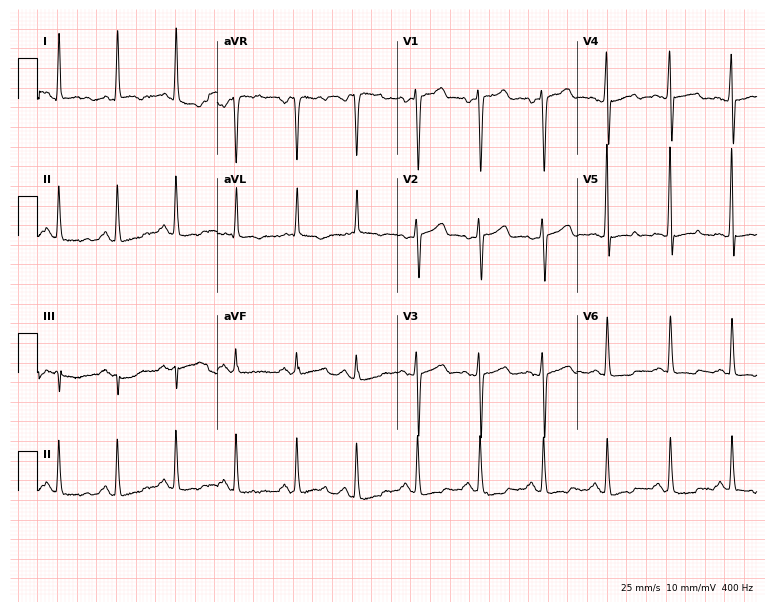
12-lead ECG (7.3-second recording at 400 Hz) from a woman, 33 years old. Screened for six findings — first-degree AV block, right bundle branch block, left bundle branch block, sinus bradycardia, atrial fibrillation, sinus tachycardia — none is recorded.